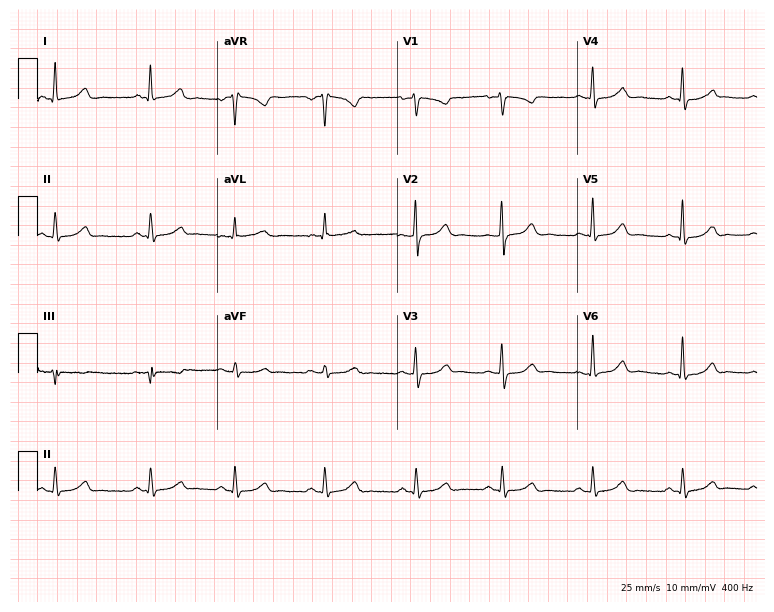
Electrocardiogram (7.3-second recording at 400 Hz), a woman, 37 years old. Overall reading on record: normal ECG.